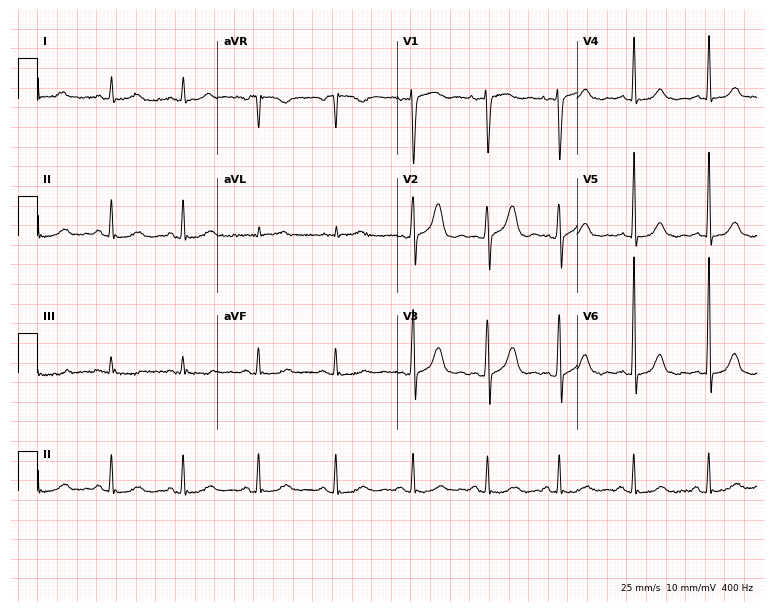
Electrocardiogram (7.3-second recording at 400 Hz), a female patient, 48 years old. Of the six screened findings (first-degree AV block, right bundle branch block (RBBB), left bundle branch block (LBBB), sinus bradycardia, atrial fibrillation (AF), sinus tachycardia), none is recorded. Findings outside these six are not listed.